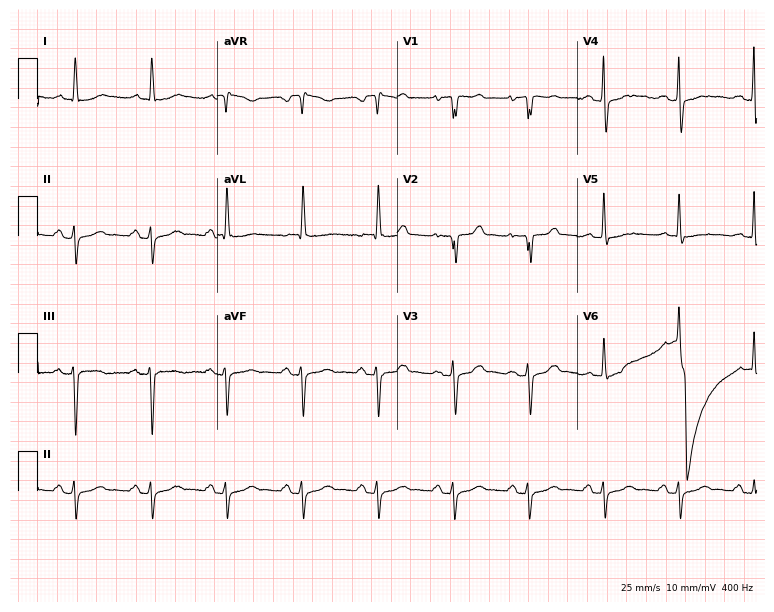
Resting 12-lead electrocardiogram. Patient: a male, 73 years old. None of these six findings is recorded: first-degree AV block, right bundle branch block, left bundle branch block, sinus bradycardia, atrial fibrillation, sinus tachycardia.